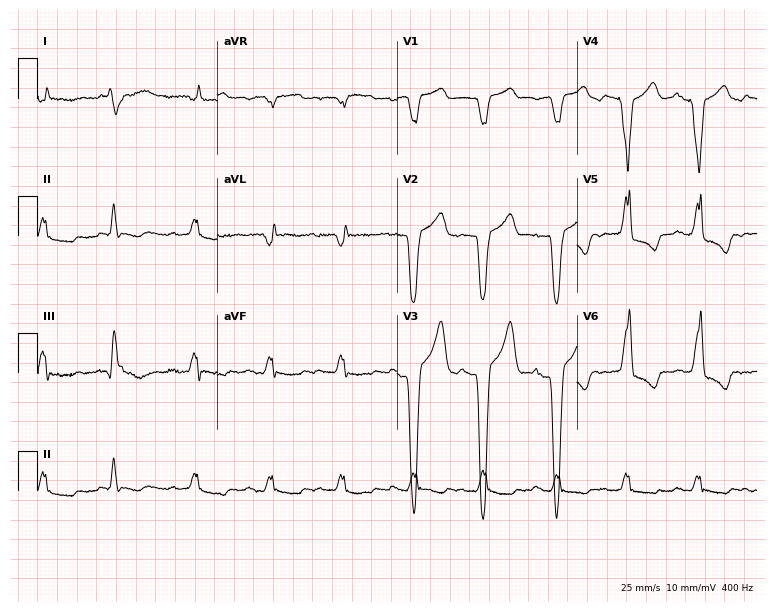
Resting 12-lead electrocardiogram. Patient: a male, 79 years old. The tracing shows left bundle branch block.